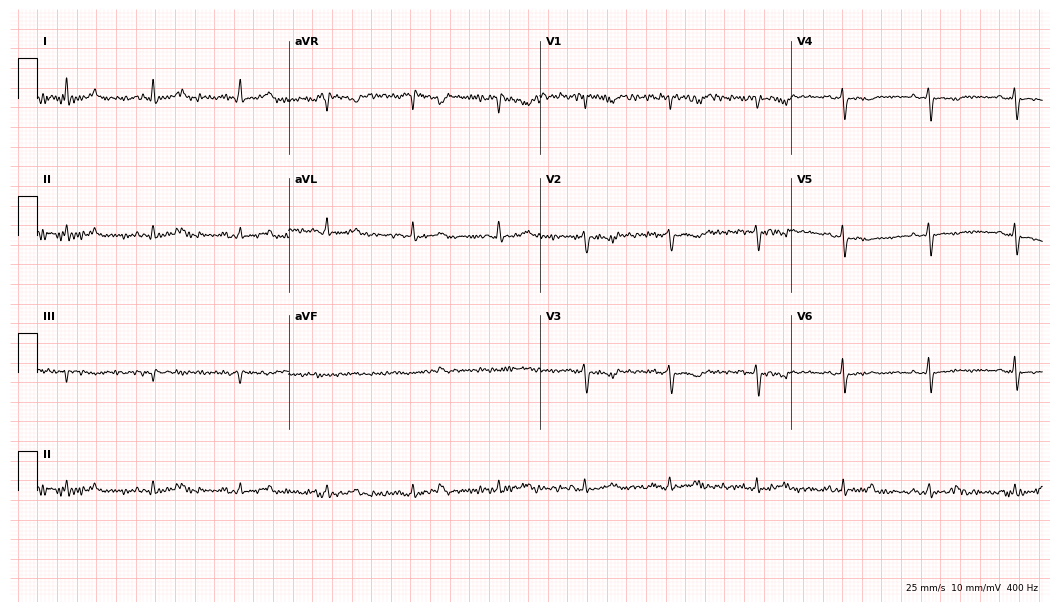
12-lead ECG (10.2-second recording at 400 Hz) from a female, 70 years old. Screened for six findings — first-degree AV block, right bundle branch block, left bundle branch block, sinus bradycardia, atrial fibrillation, sinus tachycardia — none is recorded. Findings outside these six are not listed.